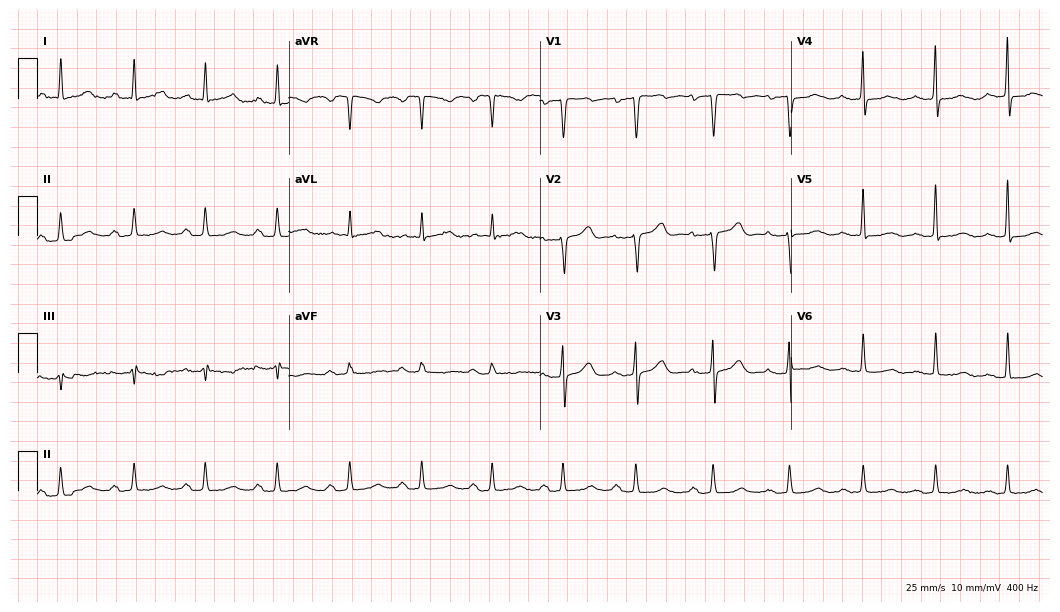
Electrocardiogram (10.2-second recording at 400 Hz), a woman, 67 years old. Overall reading on record: normal ECG.